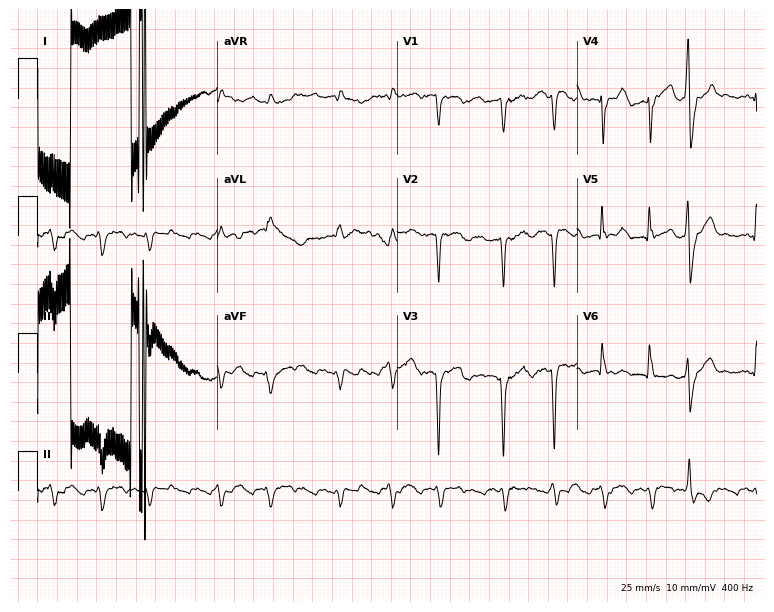
Standard 12-lead ECG recorded from a male, 84 years old. The tracing shows atrial fibrillation.